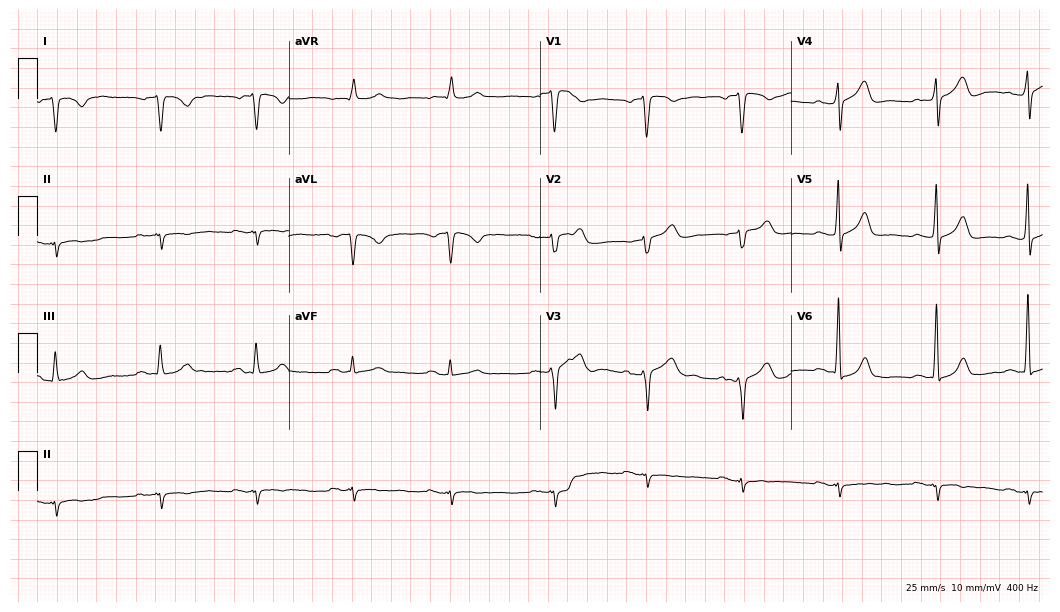
Resting 12-lead electrocardiogram. Patient: a 71-year-old male. None of these six findings is recorded: first-degree AV block, right bundle branch block, left bundle branch block, sinus bradycardia, atrial fibrillation, sinus tachycardia.